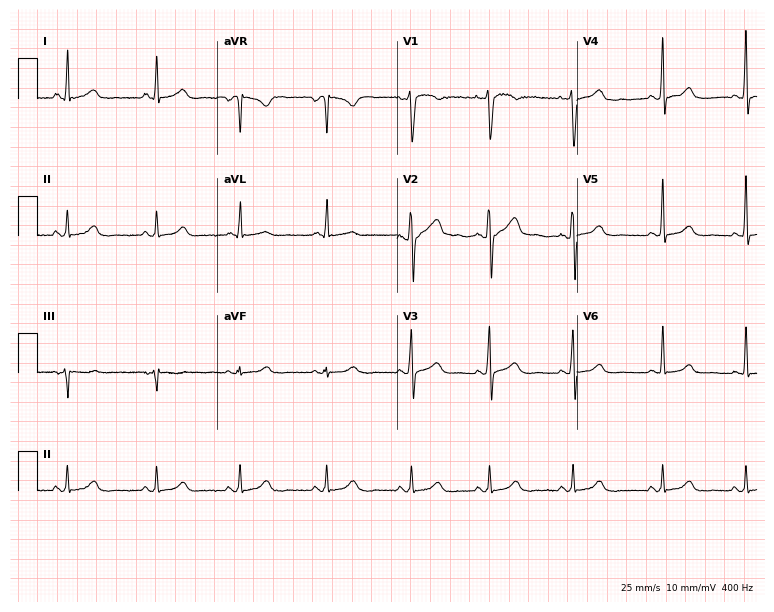
ECG — a female patient, 45 years old. Labelled as a normal ECG.